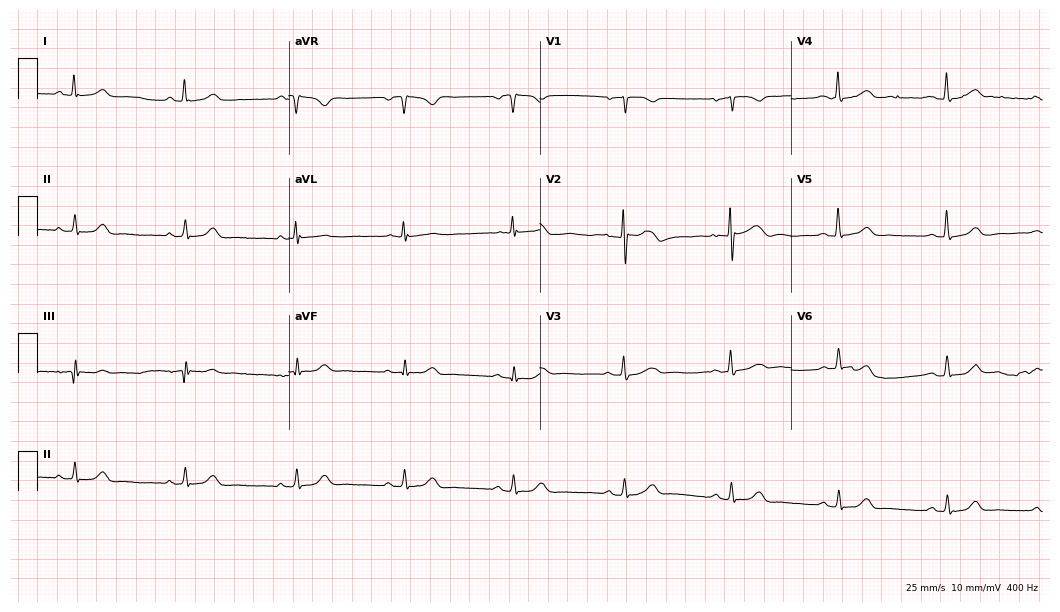
ECG — a female, 68 years old. Labelled as a normal ECG.